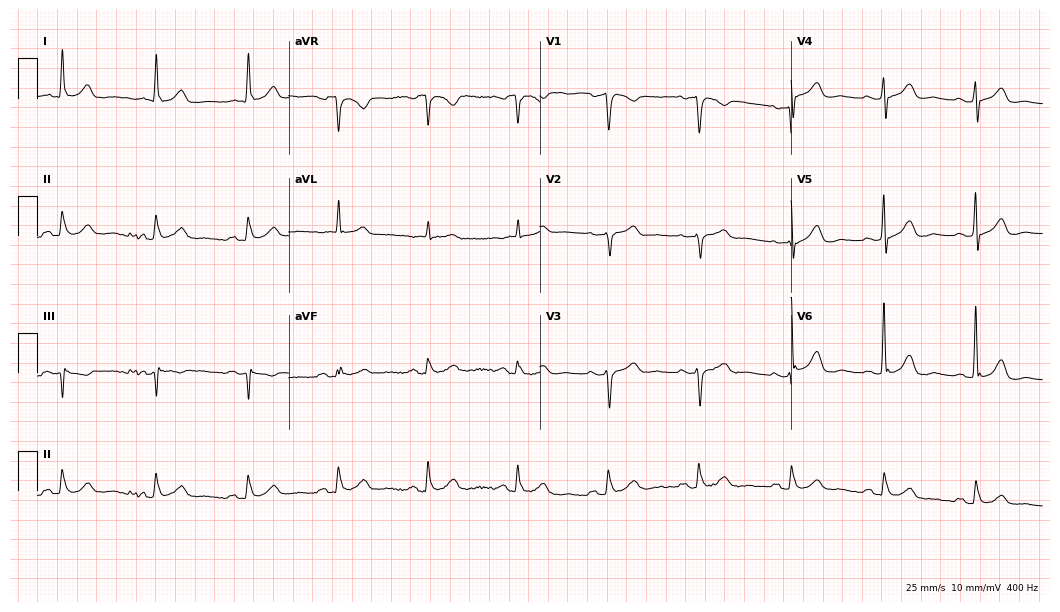
12-lead ECG (10.2-second recording at 400 Hz) from a male, 83 years old. Screened for six findings — first-degree AV block, right bundle branch block, left bundle branch block, sinus bradycardia, atrial fibrillation, sinus tachycardia — none is recorded.